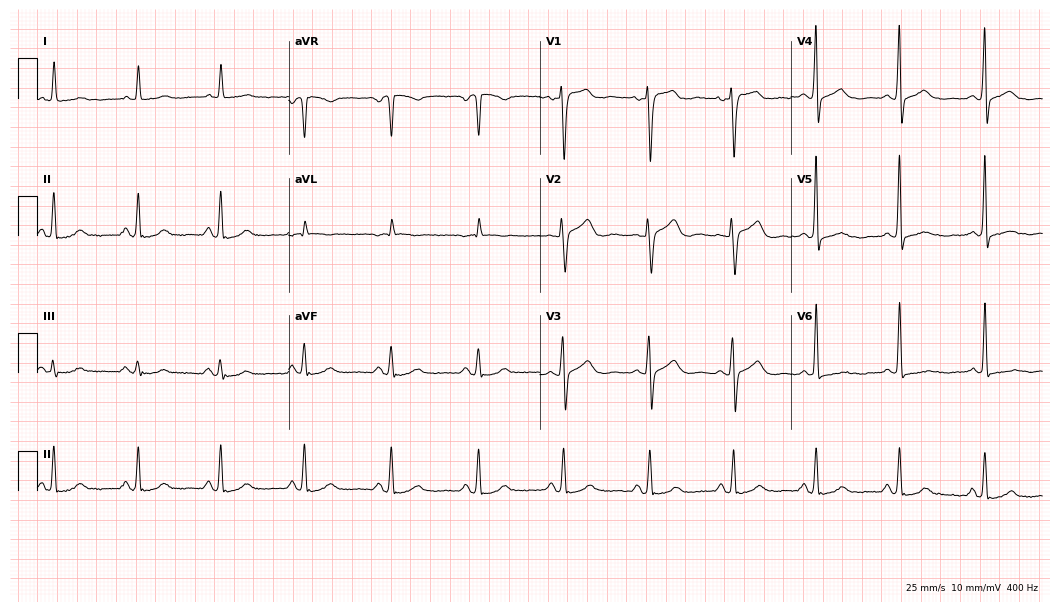
12-lead ECG from a female patient, 57 years old. No first-degree AV block, right bundle branch block, left bundle branch block, sinus bradycardia, atrial fibrillation or sinus tachycardia recorded for this tracing. Only these six findings were labelled.